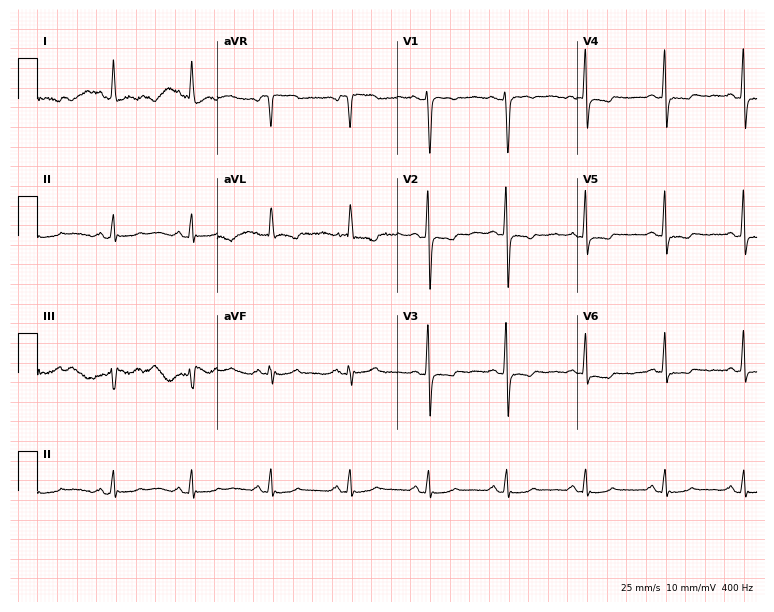
12-lead ECG from a female patient, 56 years old. No first-degree AV block, right bundle branch block, left bundle branch block, sinus bradycardia, atrial fibrillation or sinus tachycardia recorded for this tracing. Only these six findings were labelled.